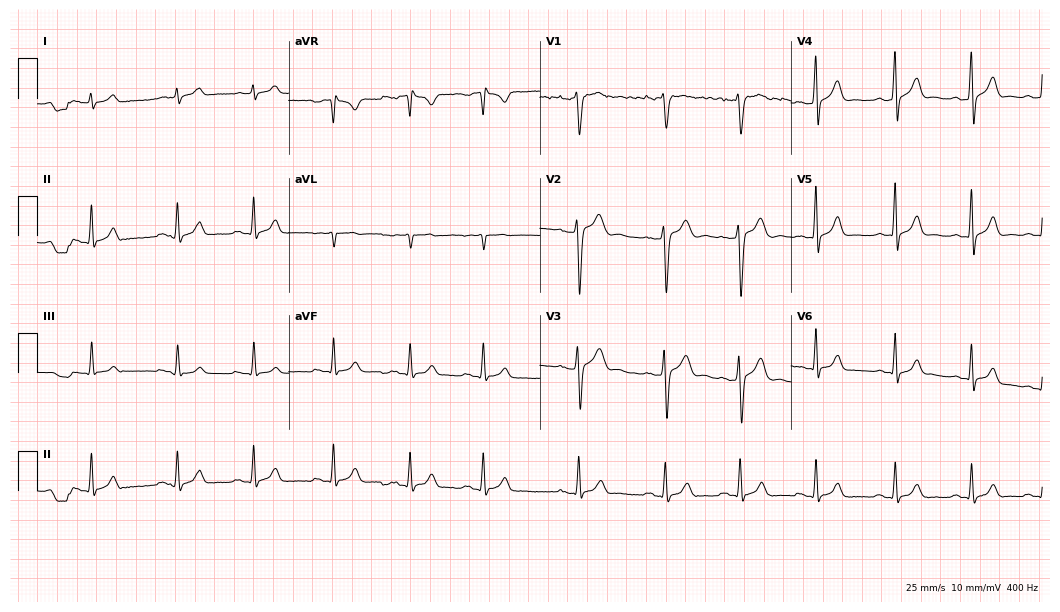
Electrocardiogram (10.2-second recording at 400 Hz), a man, 17 years old. Of the six screened findings (first-degree AV block, right bundle branch block, left bundle branch block, sinus bradycardia, atrial fibrillation, sinus tachycardia), none is recorded. Other findings, if any, are not listed.